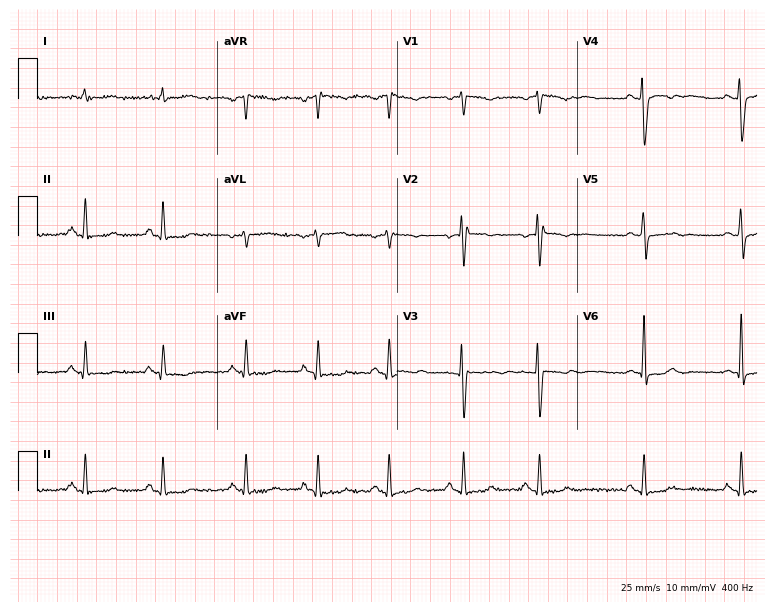
12-lead ECG from a female patient, 46 years old. Screened for six findings — first-degree AV block, right bundle branch block, left bundle branch block, sinus bradycardia, atrial fibrillation, sinus tachycardia — none is recorded. Other findings, if any, are not listed.